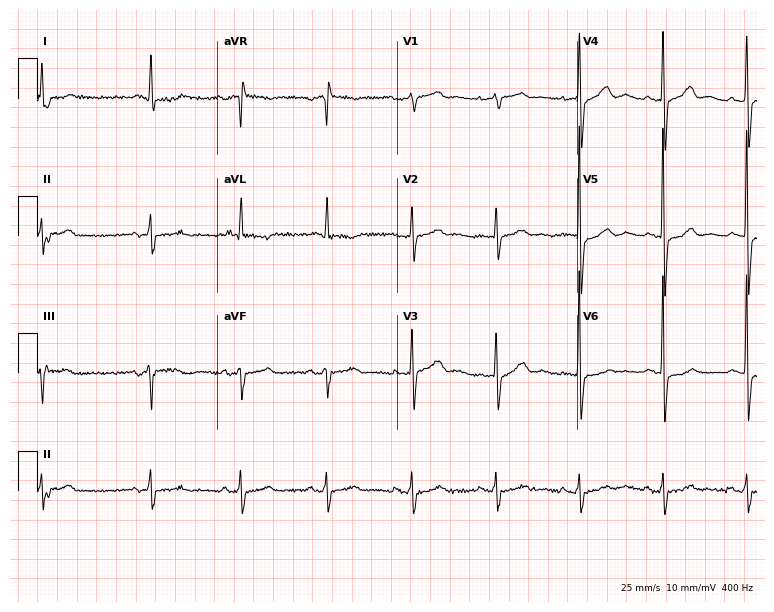
ECG — an 84-year-old female. Screened for six findings — first-degree AV block, right bundle branch block, left bundle branch block, sinus bradycardia, atrial fibrillation, sinus tachycardia — none is recorded.